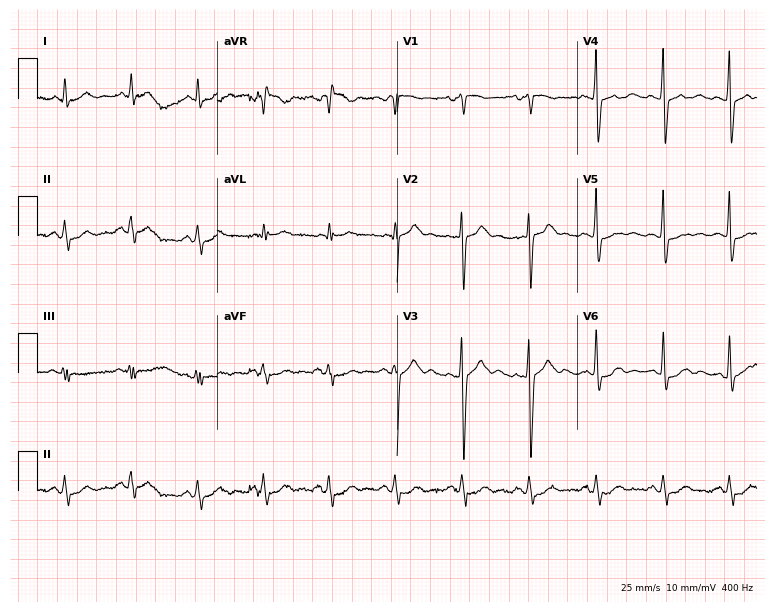
12-lead ECG from a 63-year-old male patient. No first-degree AV block, right bundle branch block, left bundle branch block, sinus bradycardia, atrial fibrillation or sinus tachycardia recorded for this tracing.